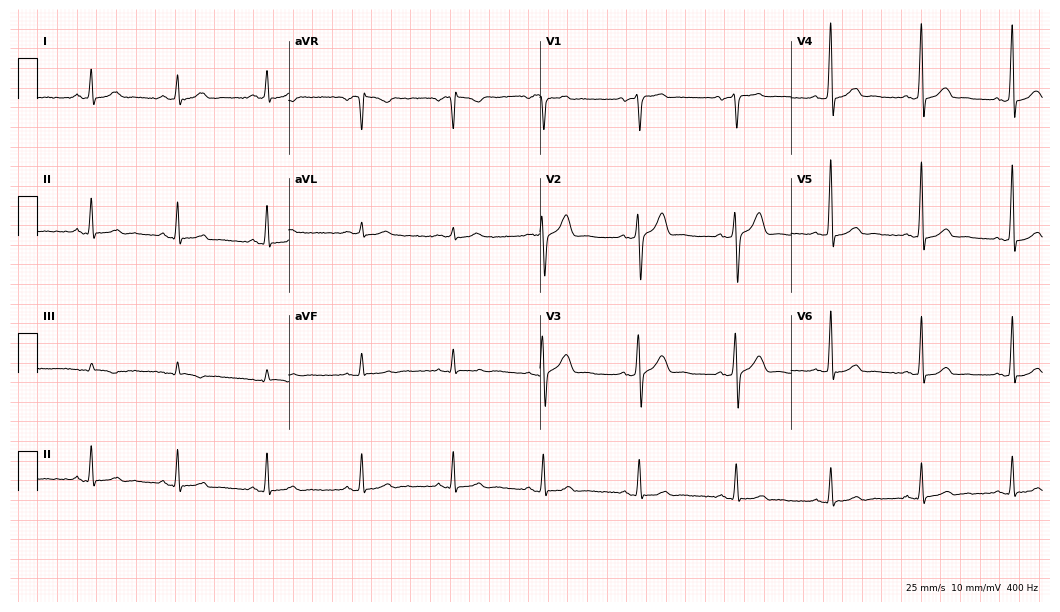
Standard 12-lead ECG recorded from a male patient, 47 years old. Read as a normal ECG.